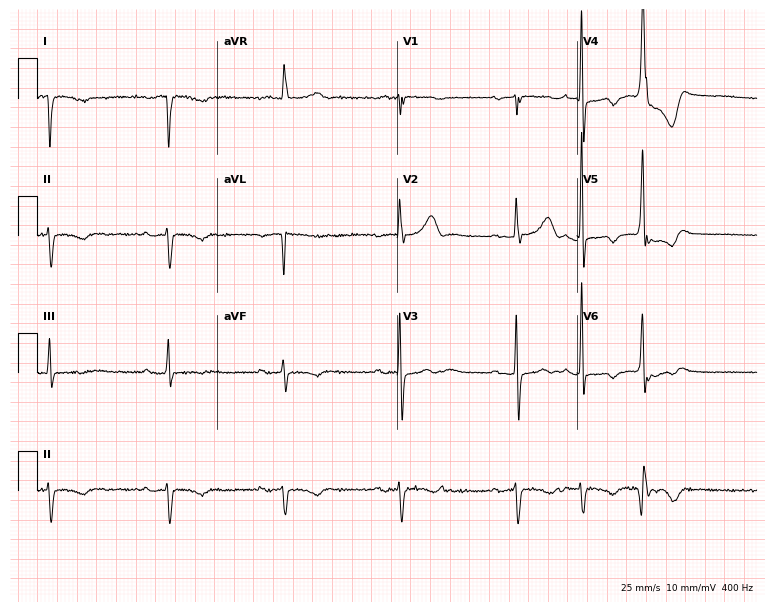
Resting 12-lead electrocardiogram. Patient: an 85-year-old woman. None of these six findings is recorded: first-degree AV block, right bundle branch block, left bundle branch block, sinus bradycardia, atrial fibrillation, sinus tachycardia.